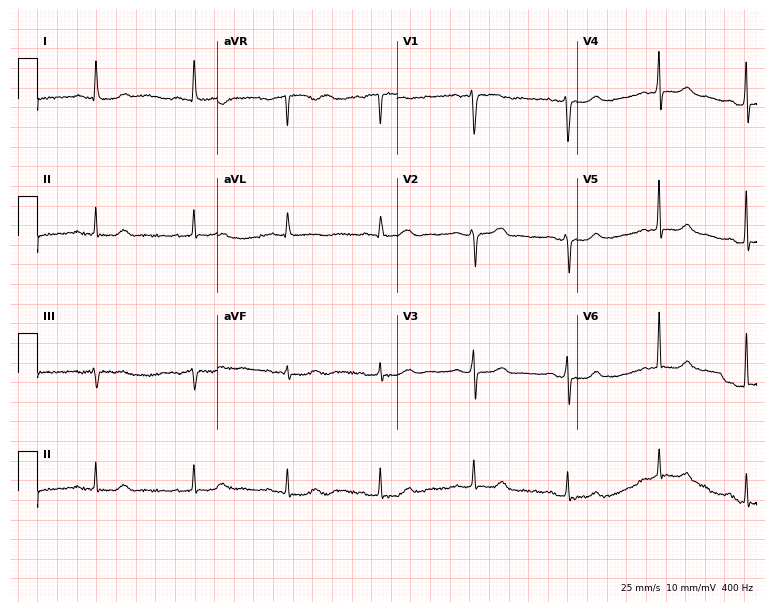
12-lead ECG from a female, 61 years old. Recorded interpretation: within normal limits.